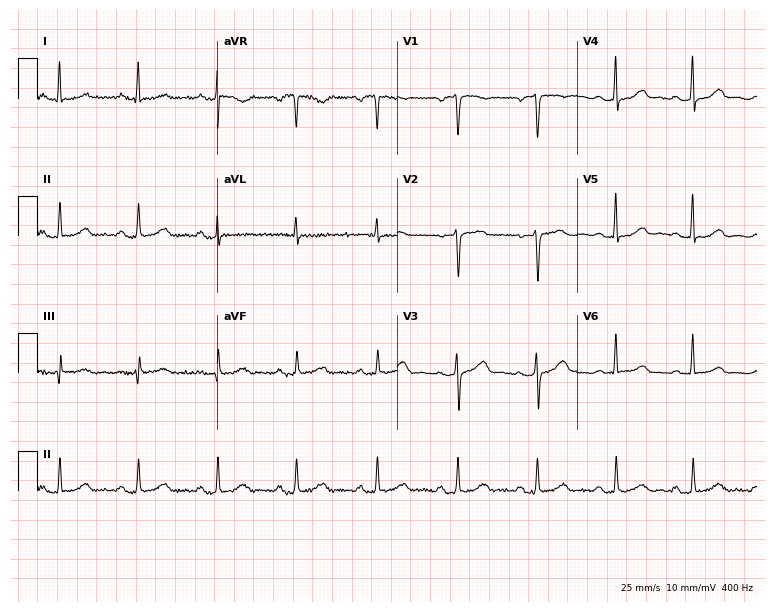
12-lead ECG from a 51-year-old female (7.3-second recording at 400 Hz). No first-degree AV block, right bundle branch block (RBBB), left bundle branch block (LBBB), sinus bradycardia, atrial fibrillation (AF) or sinus tachycardia recorded for this tracing. Findings outside these six are not listed.